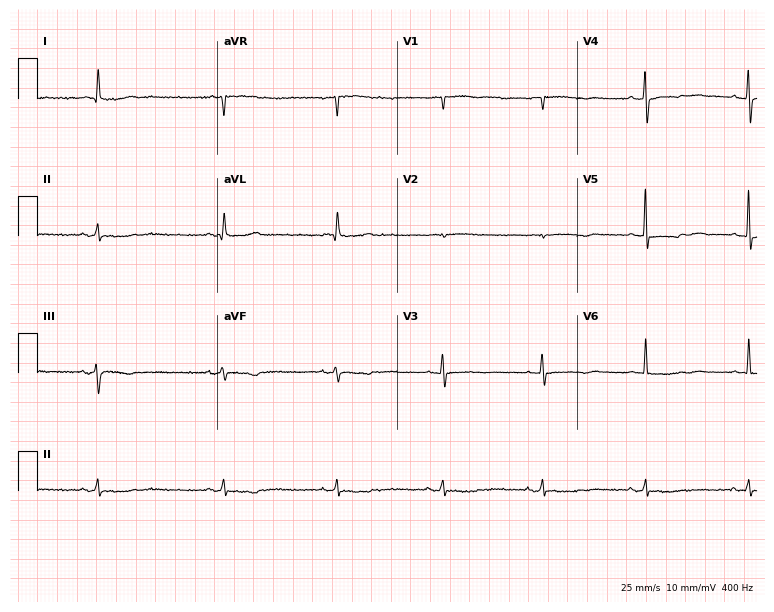
12-lead ECG (7.3-second recording at 400 Hz) from a 71-year-old female patient. Screened for six findings — first-degree AV block, right bundle branch block, left bundle branch block, sinus bradycardia, atrial fibrillation, sinus tachycardia — none is recorded. Only these six findings were labelled.